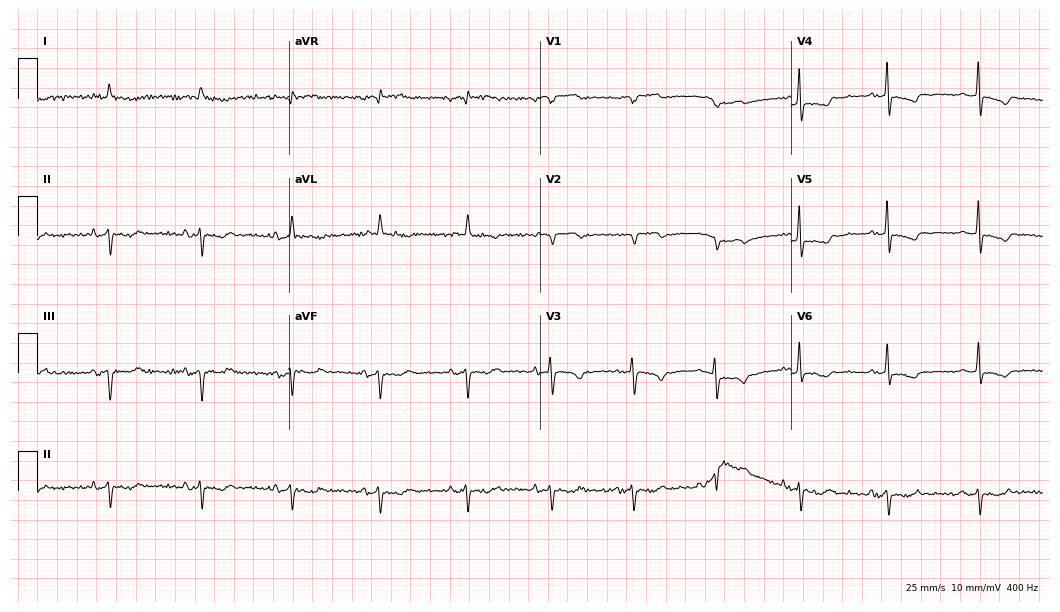
ECG (10.2-second recording at 400 Hz) — an 83-year-old man. Screened for six findings — first-degree AV block, right bundle branch block, left bundle branch block, sinus bradycardia, atrial fibrillation, sinus tachycardia — none is recorded.